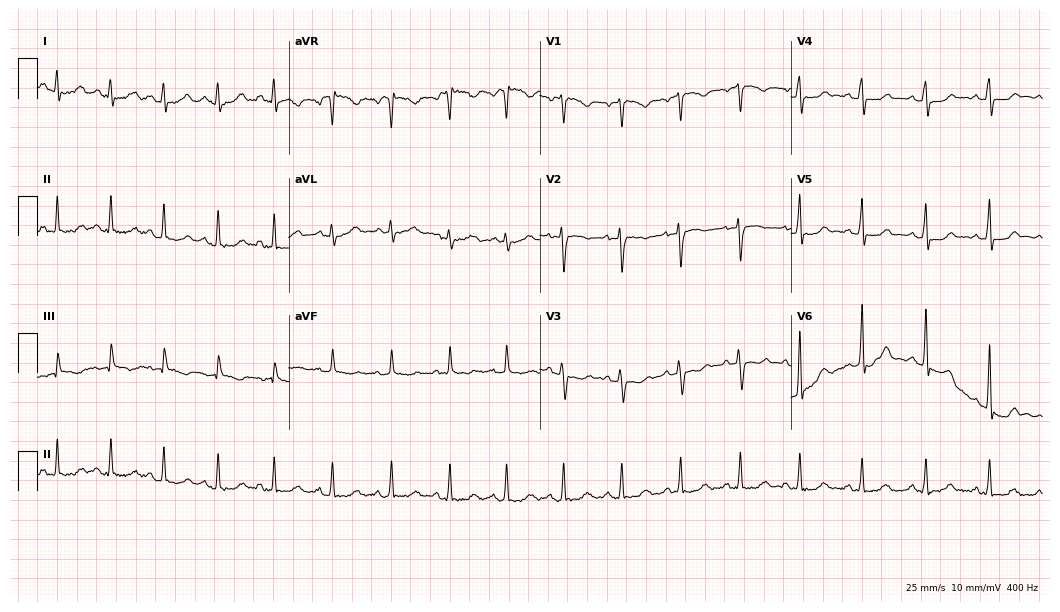
Resting 12-lead electrocardiogram. Patient: a 28-year-old female. The tracing shows sinus tachycardia (a sinus rate of 100 beats per minute or more).